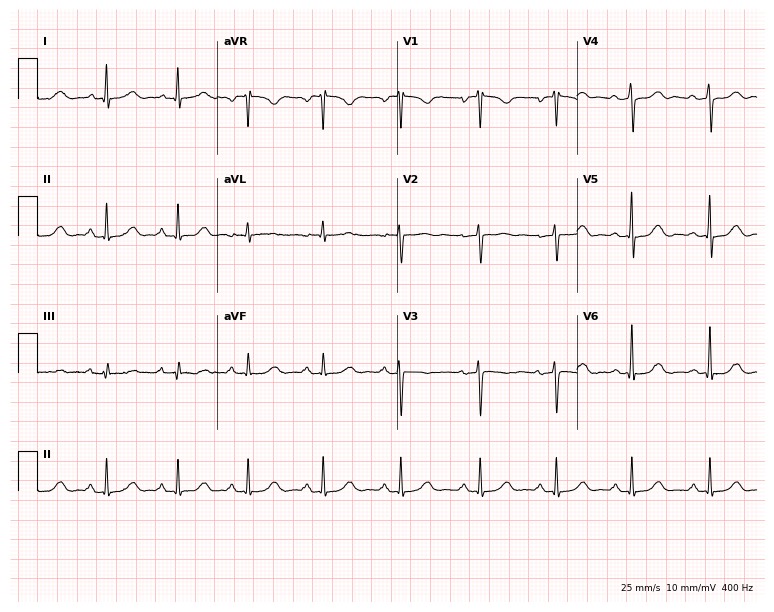
Standard 12-lead ECG recorded from a 50-year-old woman. Read as a normal ECG.